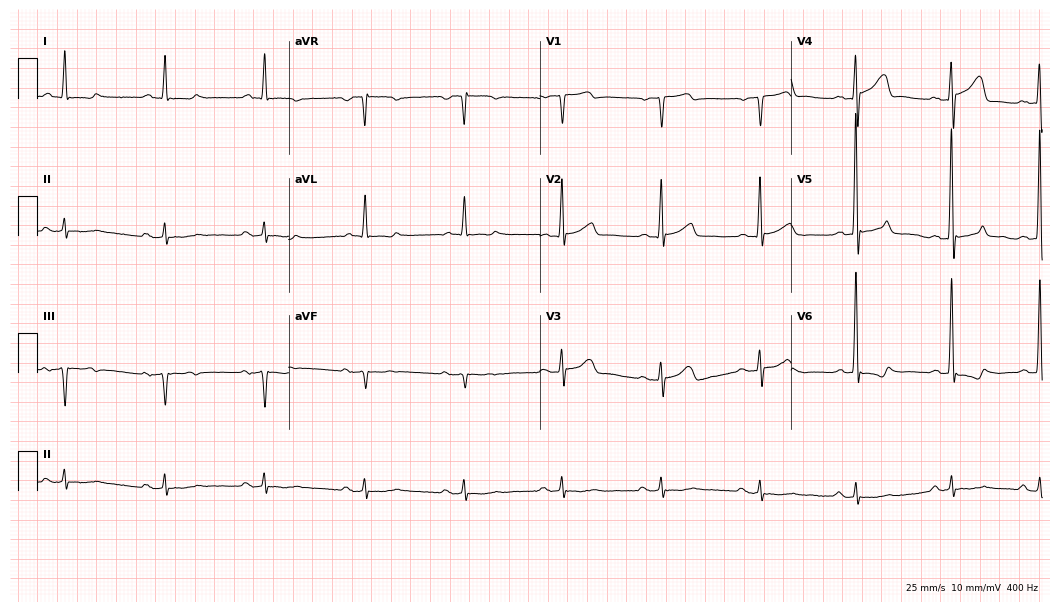
Resting 12-lead electrocardiogram. Patient: a 70-year-old male. Read as a normal ECG.